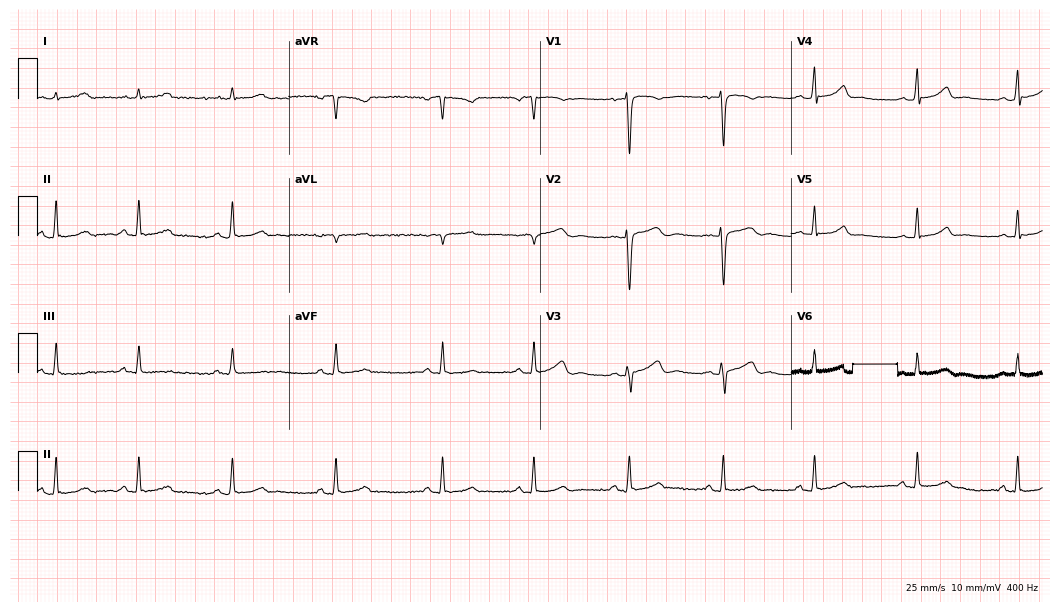
12-lead ECG from a 26-year-old female patient. Recorded interpretation: within normal limits.